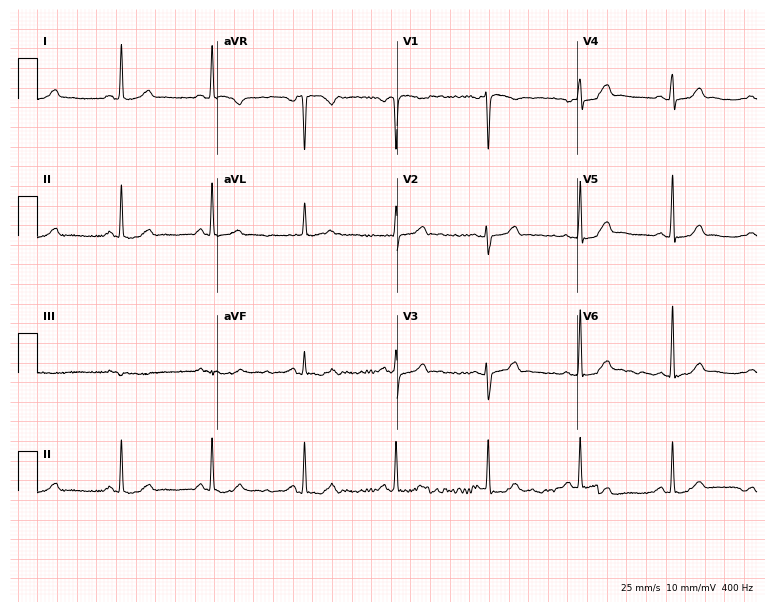
12-lead ECG (7.3-second recording at 400 Hz) from a 59-year-old woman. Labelled as a normal ECG.